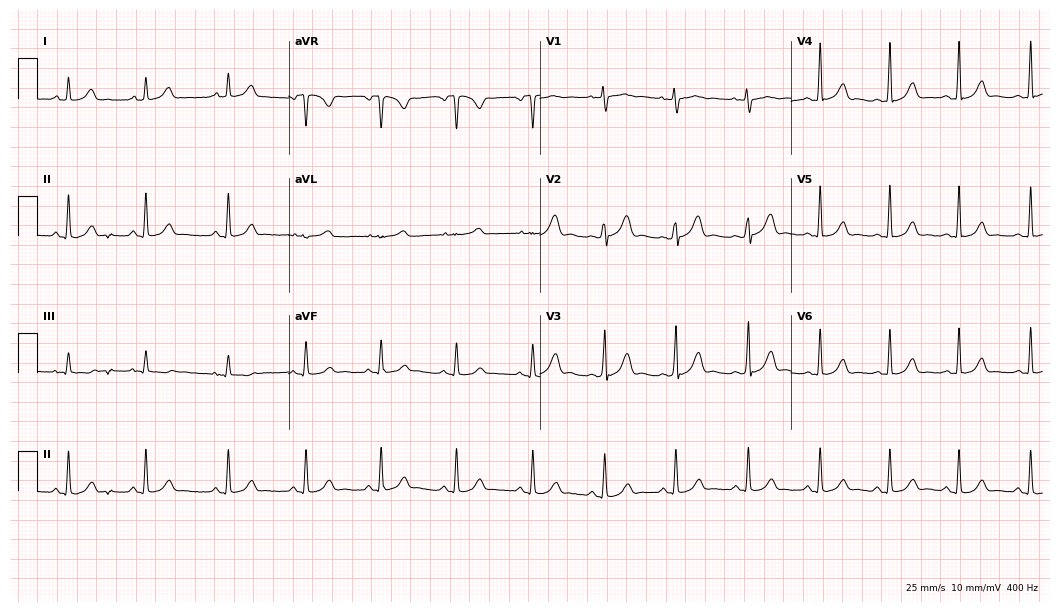
Resting 12-lead electrocardiogram (10.2-second recording at 400 Hz). Patient: a 32-year-old female. Read as a normal ECG.